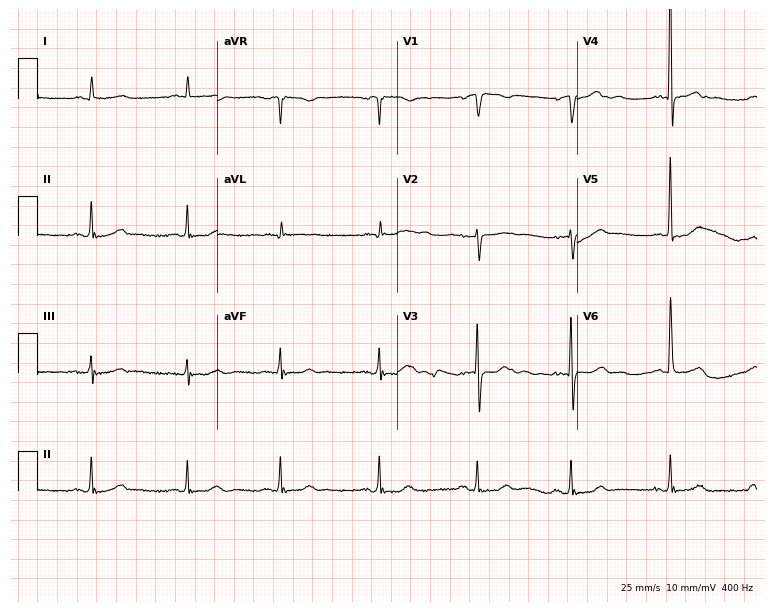
Standard 12-lead ECG recorded from a 74-year-old woman. None of these six findings is recorded: first-degree AV block, right bundle branch block, left bundle branch block, sinus bradycardia, atrial fibrillation, sinus tachycardia.